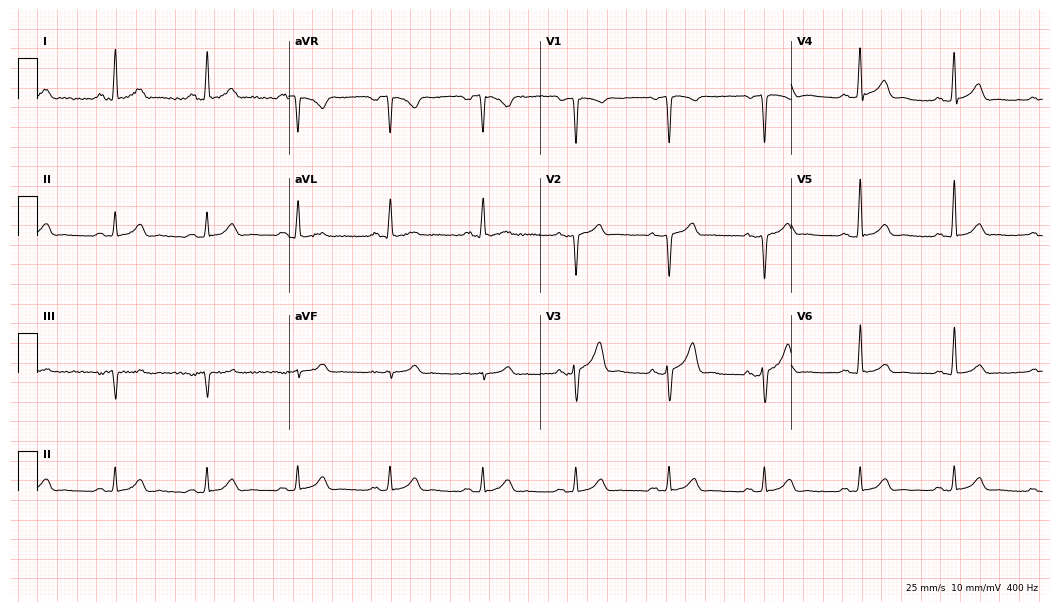
Electrocardiogram (10.2-second recording at 400 Hz), a man, 35 years old. Overall reading on record: normal ECG.